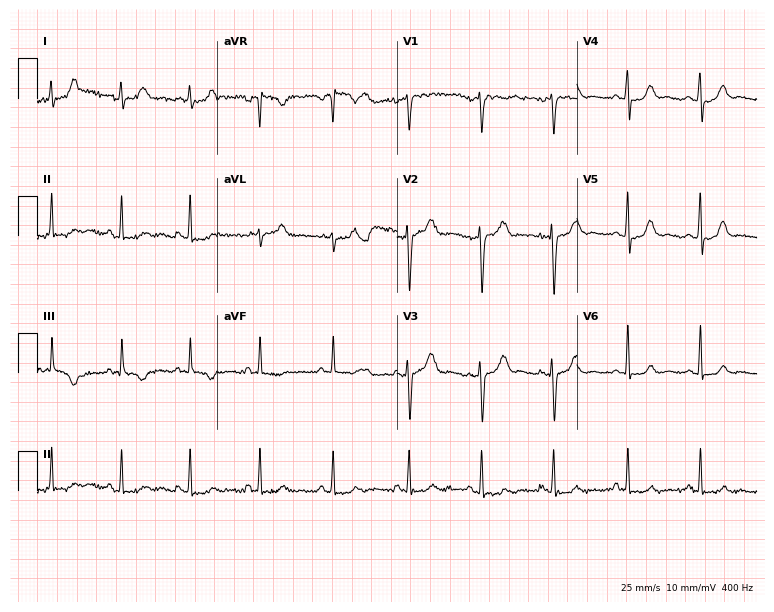
Resting 12-lead electrocardiogram (7.3-second recording at 400 Hz). Patient: a woman, 27 years old. None of these six findings is recorded: first-degree AV block, right bundle branch block, left bundle branch block, sinus bradycardia, atrial fibrillation, sinus tachycardia.